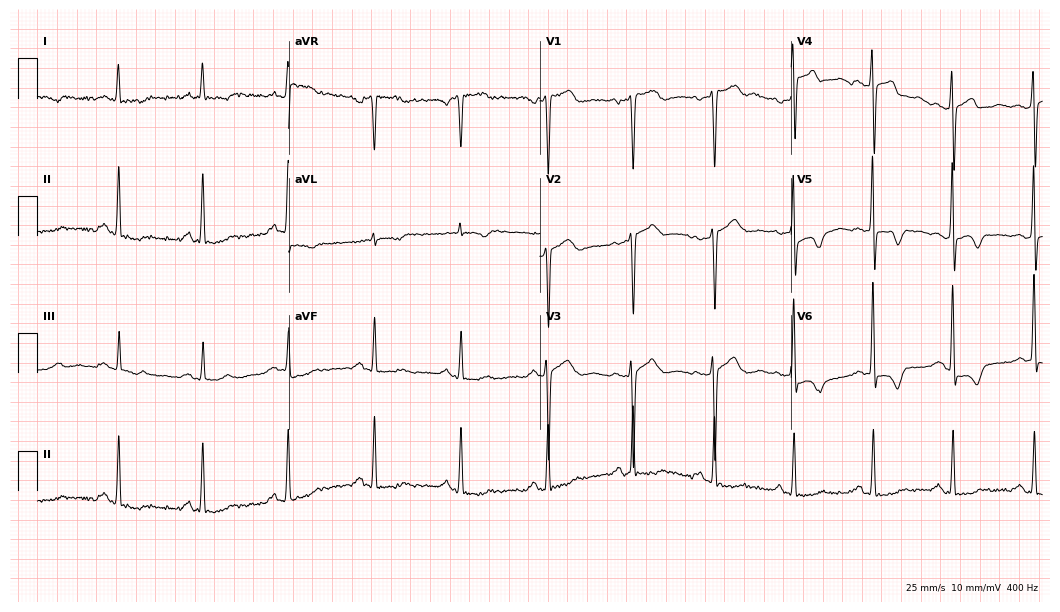
12-lead ECG from a man, 64 years old. No first-degree AV block, right bundle branch block, left bundle branch block, sinus bradycardia, atrial fibrillation or sinus tachycardia recorded for this tracing.